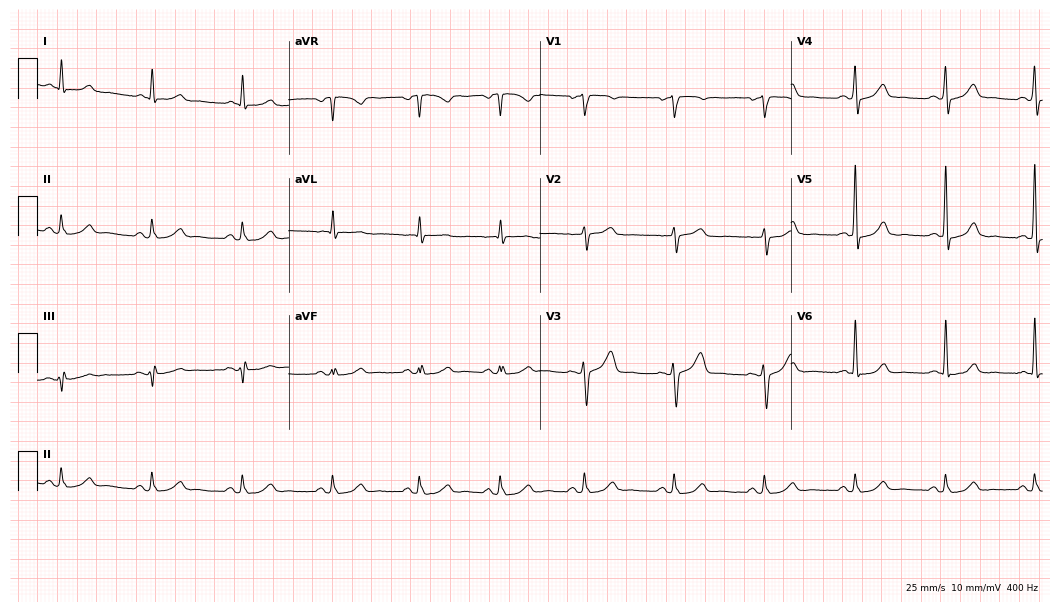
Electrocardiogram, a 55-year-old female. Of the six screened findings (first-degree AV block, right bundle branch block, left bundle branch block, sinus bradycardia, atrial fibrillation, sinus tachycardia), none is recorded. Only these six findings were labelled.